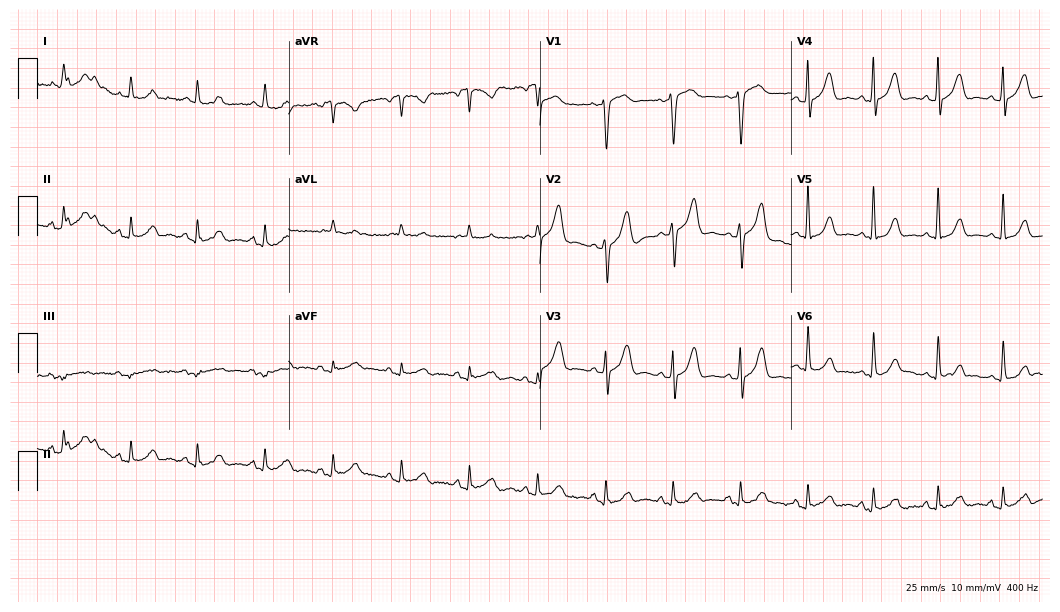
ECG — a female, 71 years old. Labelled as a normal ECG.